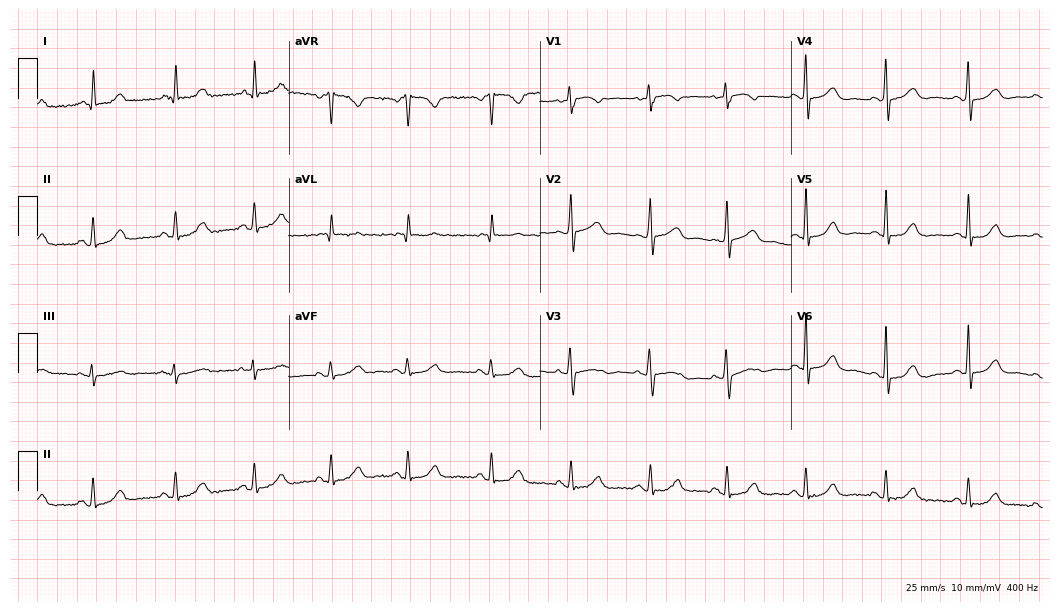
Standard 12-lead ECG recorded from a female, 73 years old (10.2-second recording at 400 Hz). Read as a normal ECG.